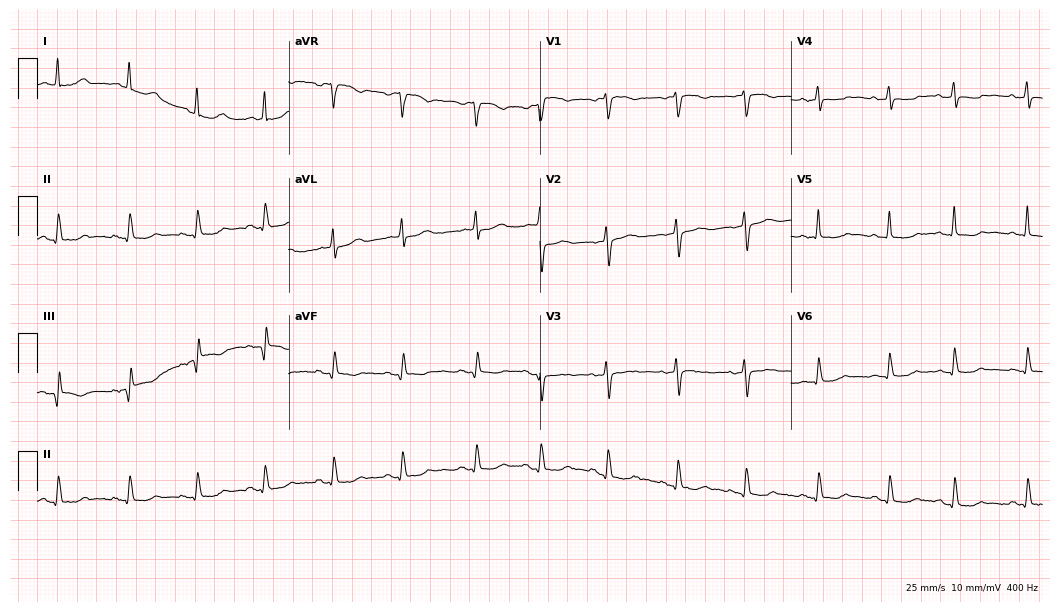
Standard 12-lead ECG recorded from a 63-year-old female patient (10.2-second recording at 400 Hz). Read as a normal ECG.